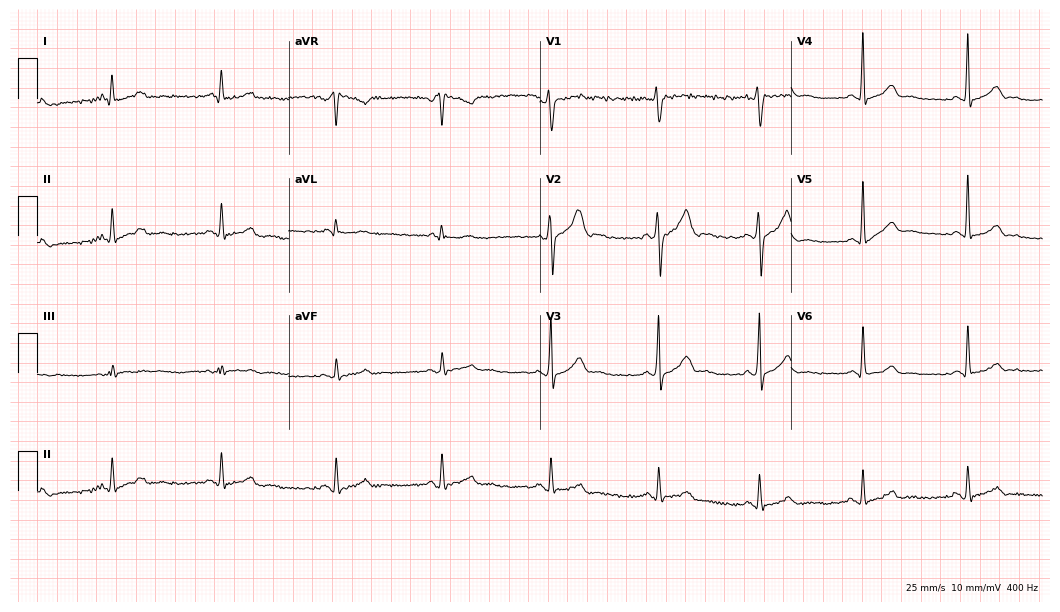
12-lead ECG from a male, 41 years old (10.2-second recording at 400 Hz). Recorded interpretation: within normal limits.